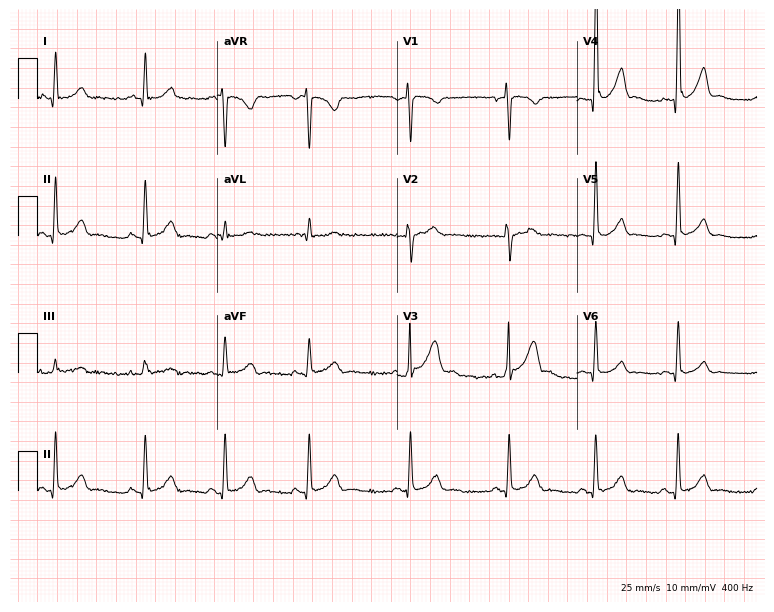
Resting 12-lead electrocardiogram (7.3-second recording at 400 Hz). Patient: a male, 25 years old. Read as a normal ECG.